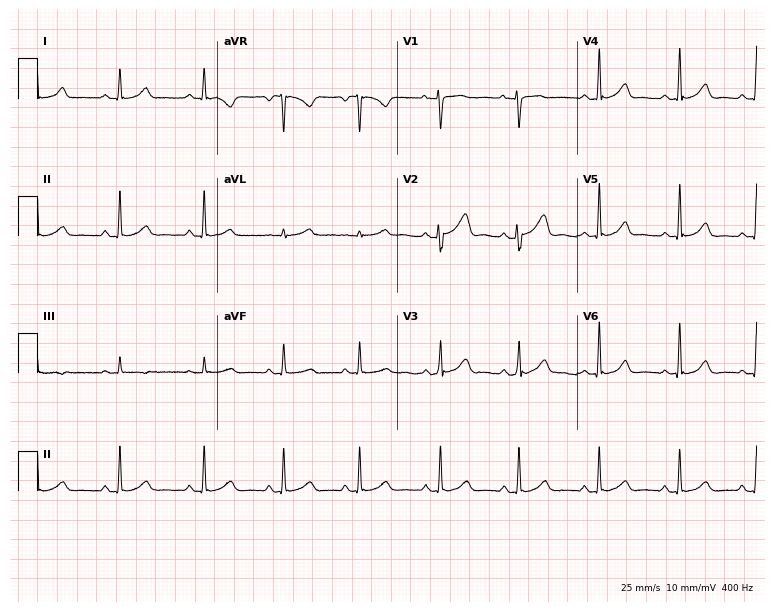
Resting 12-lead electrocardiogram. Patient: a 30-year-old female. Read as a normal ECG.